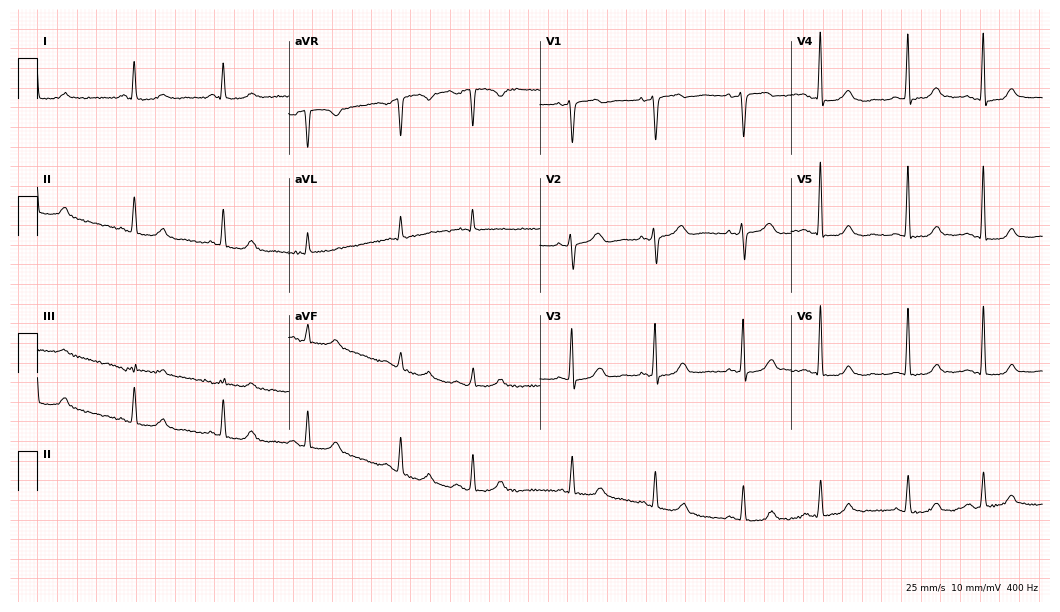
Resting 12-lead electrocardiogram. Patient: a 78-year-old woman. None of these six findings is recorded: first-degree AV block, right bundle branch block (RBBB), left bundle branch block (LBBB), sinus bradycardia, atrial fibrillation (AF), sinus tachycardia.